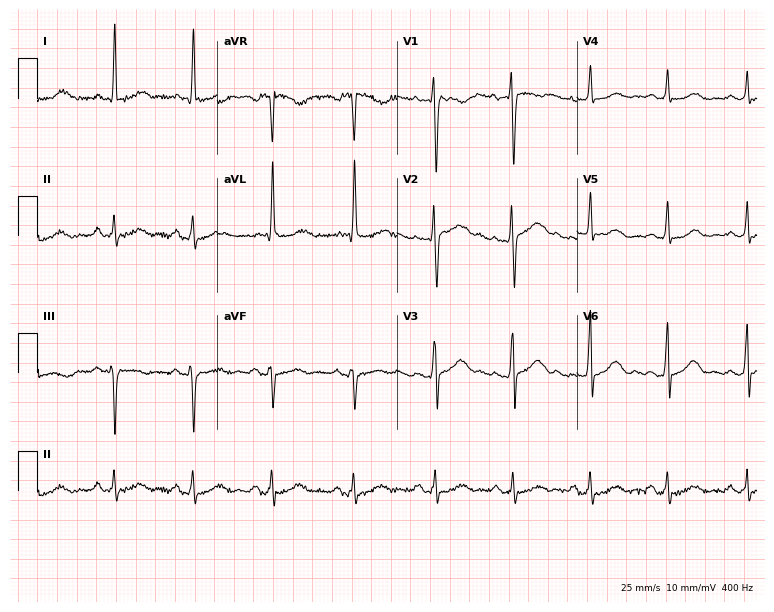
Standard 12-lead ECG recorded from a female patient, 45 years old. None of these six findings is recorded: first-degree AV block, right bundle branch block, left bundle branch block, sinus bradycardia, atrial fibrillation, sinus tachycardia. Other findings, if any, are not listed.